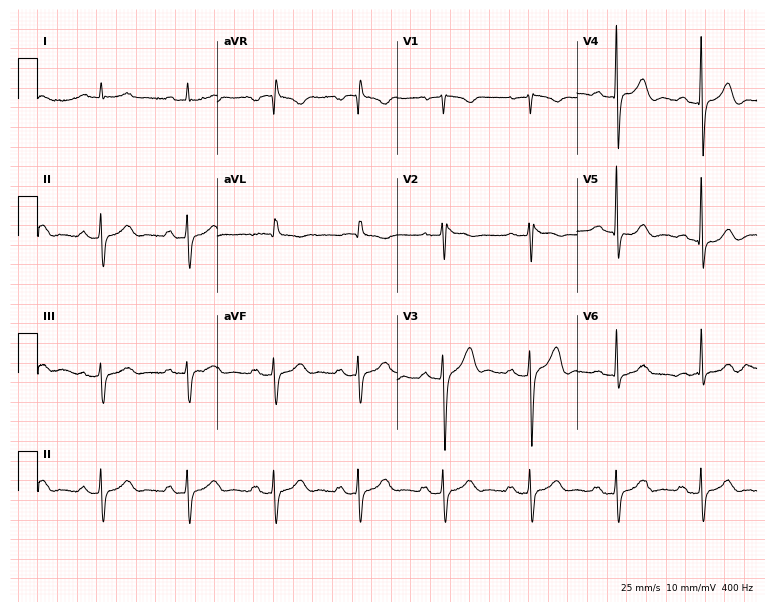
Resting 12-lead electrocardiogram. Patient: a 73-year-old man. The tracing shows first-degree AV block.